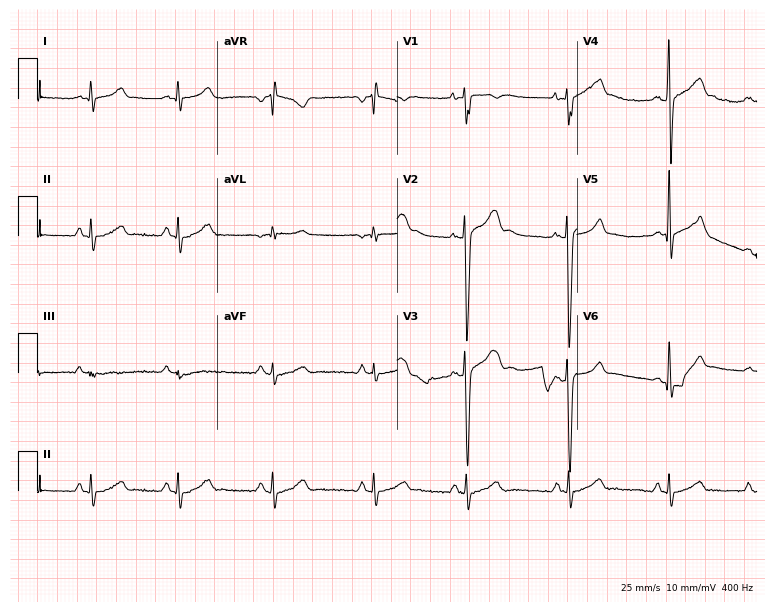
Electrocardiogram, a male, 20 years old. Of the six screened findings (first-degree AV block, right bundle branch block, left bundle branch block, sinus bradycardia, atrial fibrillation, sinus tachycardia), none is recorded.